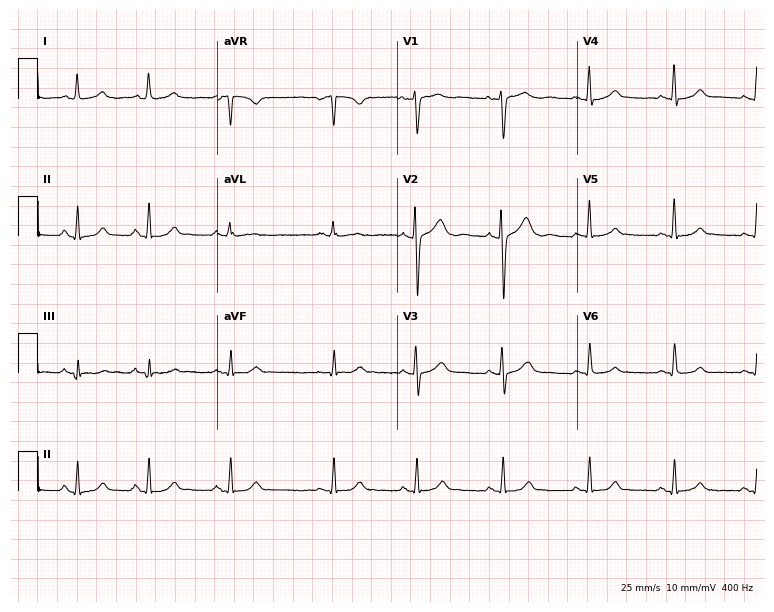
Standard 12-lead ECG recorded from a 33-year-old woman (7.3-second recording at 400 Hz). None of these six findings is recorded: first-degree AV block, right bundle branch block, left bundle branch block, sinus bradycardia, atrial fibrillation, sinus tachycardia.